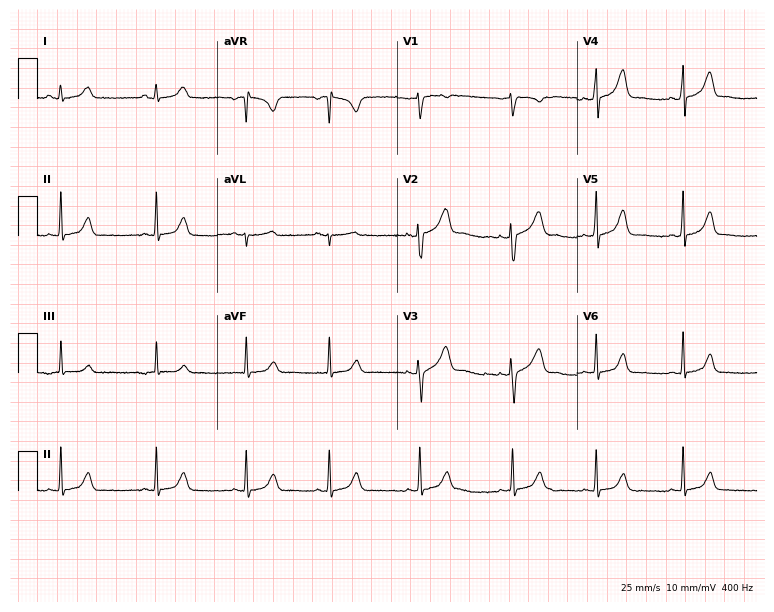
12-lead ECG from a 24-year-old female. No first-degree AV block, right bundle branch block, left bundle branch block, sinus bradycardia, atrial fibrillation or sinus tachycardia recorded for this tracing.